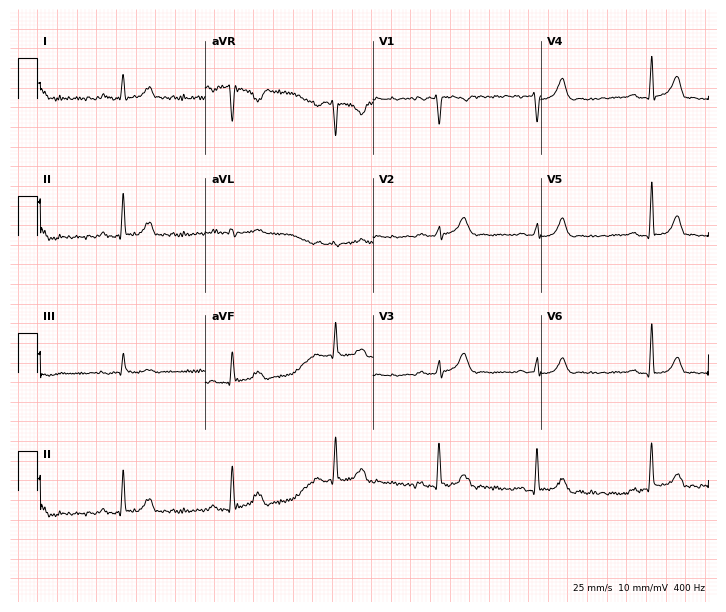
Standard 12-lead ECG recorded from a 31-year-old female patient (6.8-second recording at 400 Hz). None of these six findings is recorded: first-degree AV block, right bundle branch block (RBBB), left bundle branch block (LBBB), sinus bradycardia, atrial fibrillation (AF), sinus tachycardia. Only these six findings were labelled.